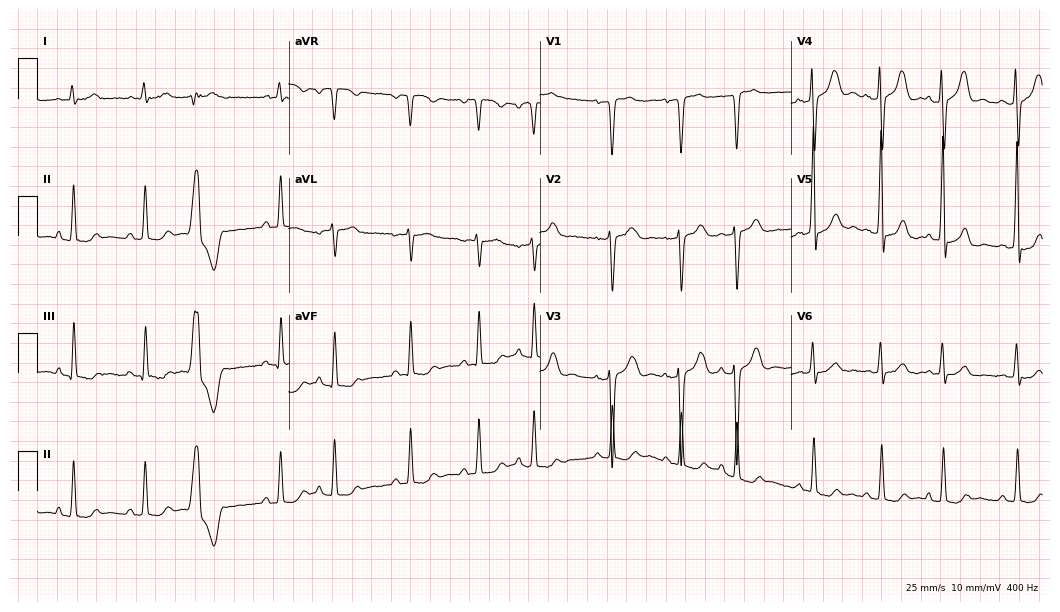
12-lead ECG from a woman, 66 years old (10.2-second recording at 400 Hz). No first-degree AV block, right bundle branch block (RBBB), left bundle branch block (LBBB), sinus bradycardia, atrial fibrillation (AF) or sinus tachycardia recorded for this tracing.